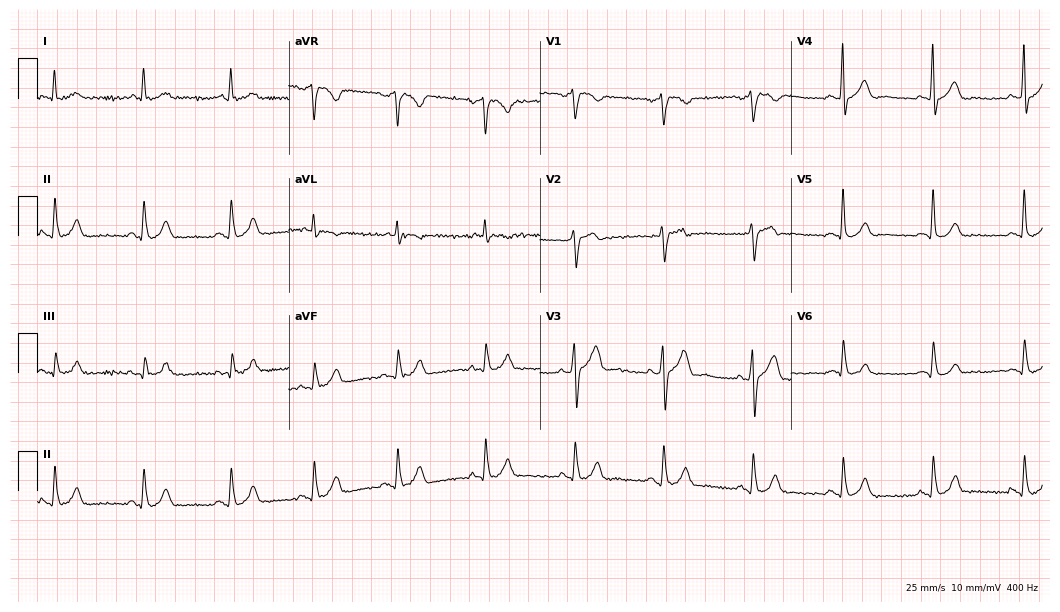
ECG (10.2-second recording at 400 Hz) — a man, 61 years old. Labelled as a normal ECG.